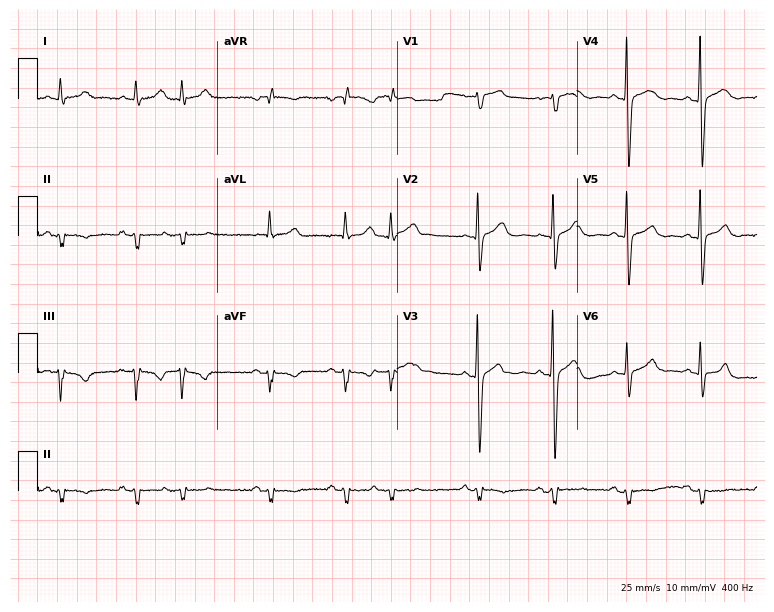
Resting 12-lead electrocardiogram (7.3-second recording at 400 Hz). Patient: a male, 83 years old. None of these six findings is recorded: first-degree AV block, right bundle branch block, left bundle branch block, sinus bradycardia, atrial fibrillation, sinus tachycardia. Other findings, if any, are not listed.